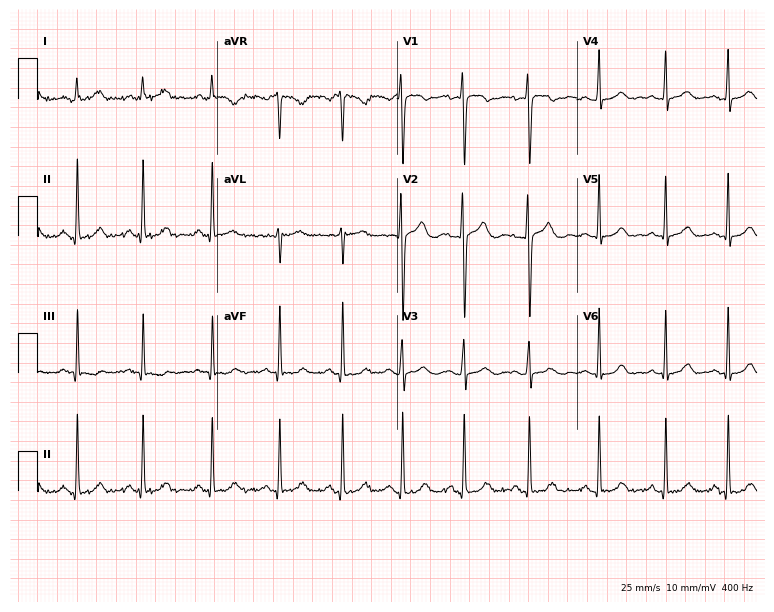
12-lead ECG (7.3-second recording at 400 Hz) from a 27-year-old female. Screened for six findings — first-degree AV block, right bundle branch block, left bundle branch block, sinus bradycardia, atrial fibrillation, sinus tachycardia — none is recorded. Only these six findings were labelled.